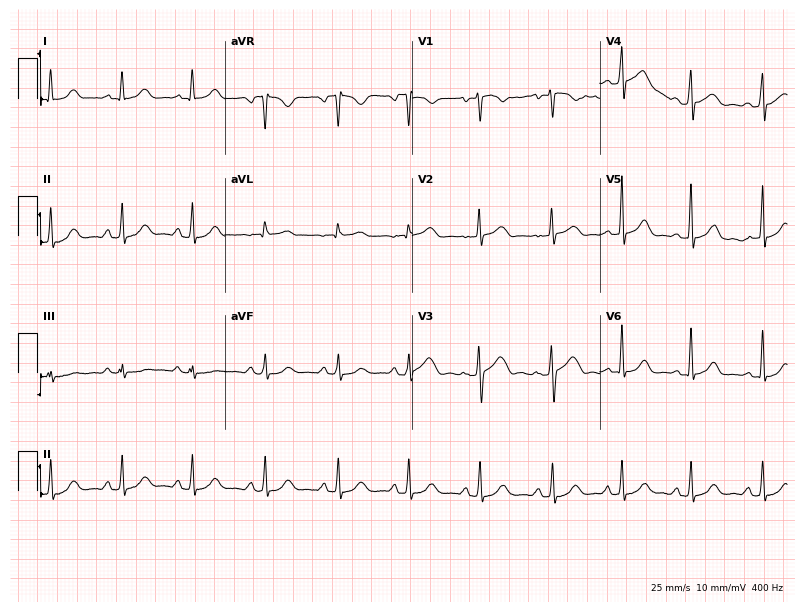
Electrocardiogram, a 32-year-old female. Overall reading on record: normal ECG.